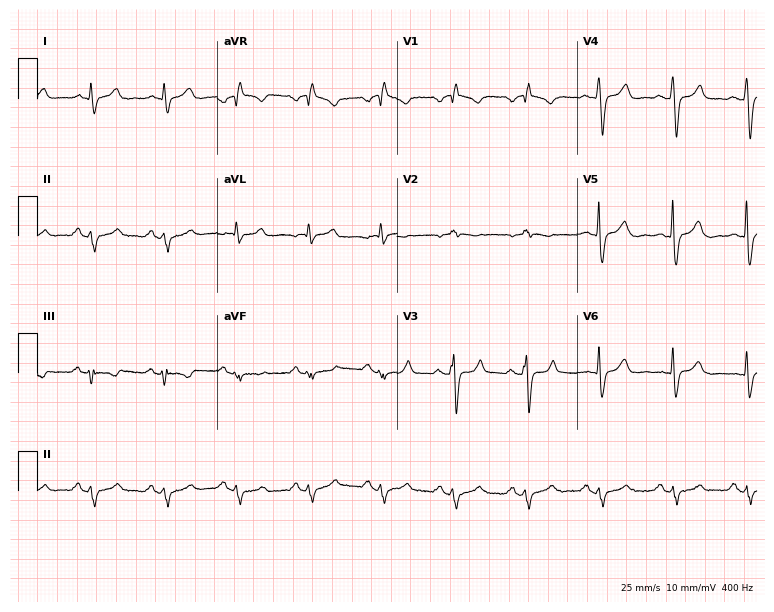
Resting 12-lead electrocardiogram. Patient: a 56-year-old man. None of these six findings is recorded: first-degree AV block, right bundle branch block, left bundle branch block, sinus bradycardia, atrial fibrillation, sinus tachycardia. Findings outside these six are not listed.